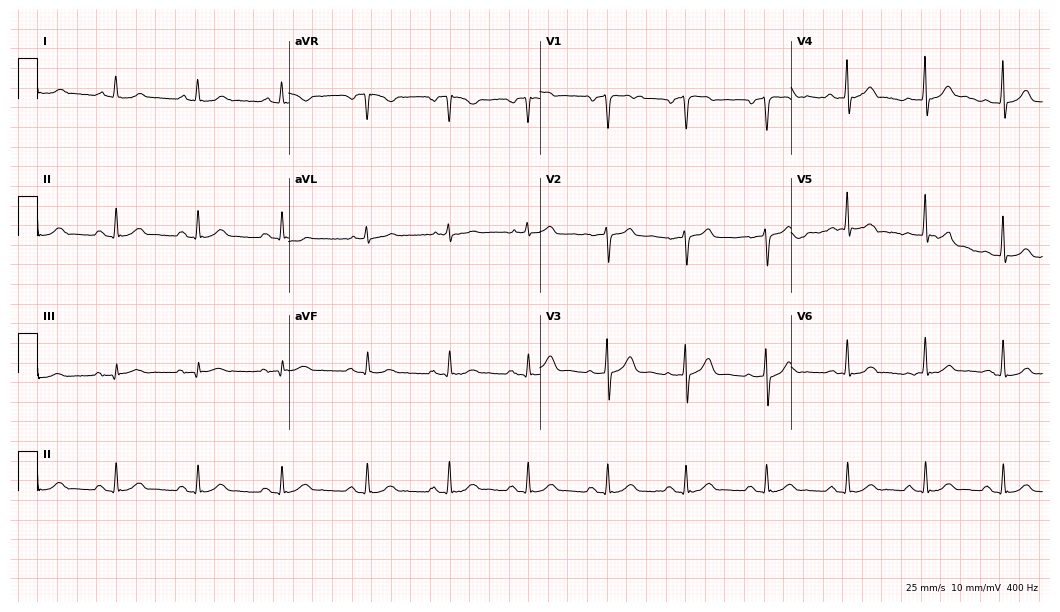
Resting 12-lead electrocardiogram (10.2-second recording at 400 Hz). Patient: a male, 68 years old. Read as a normal ECG.